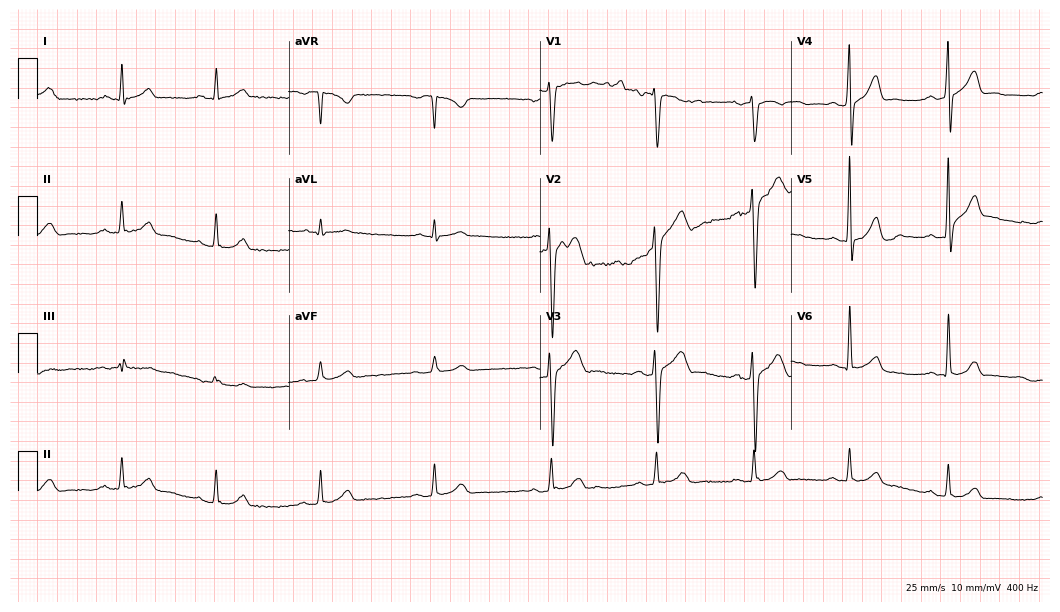
12-lead ECG from a man, 31 years old. No first-degree AV block, right bundle branch block, left bundle branch block, sinus bradycardia, atrial fibrillation or sinus tachycardia recorded for this tracing.